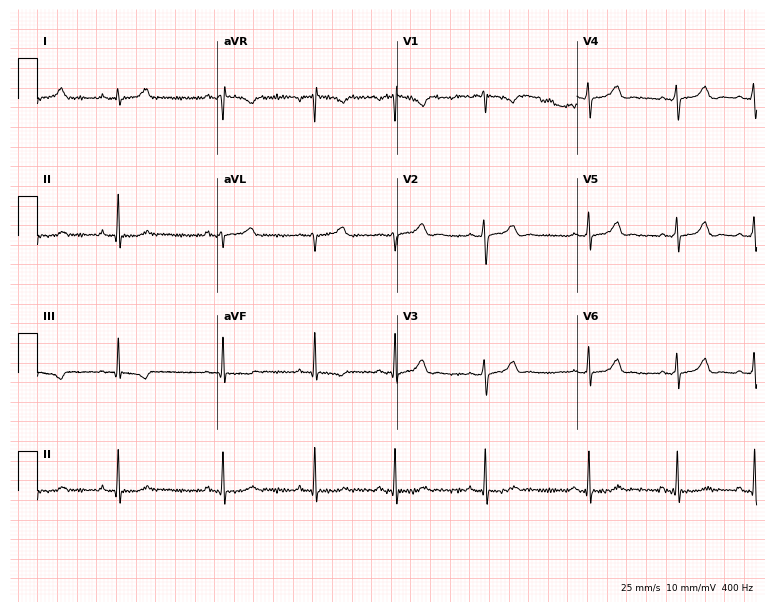
12-lead ECG (7.3-second recording at 400 Hz) from a female, 19 years old. Labelled as a normal ECG.